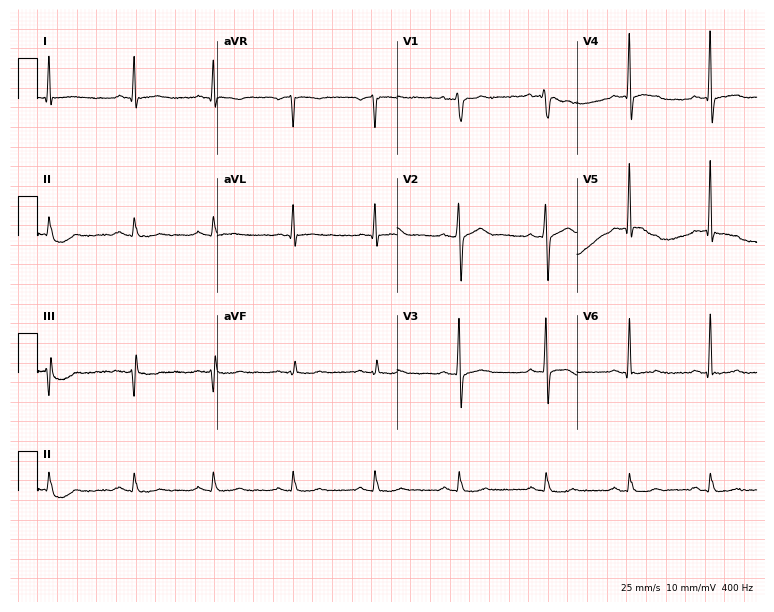
Resting 12-lead electrocardiogram. Patient: a 47-year-old male. None of these six findings is recorded: first-degree AV block, right bundle branch block (RBBB), left bundle branch block (LBBB), sinus bradycardia, atrial fibrillation (AF), sinus tachycardia.